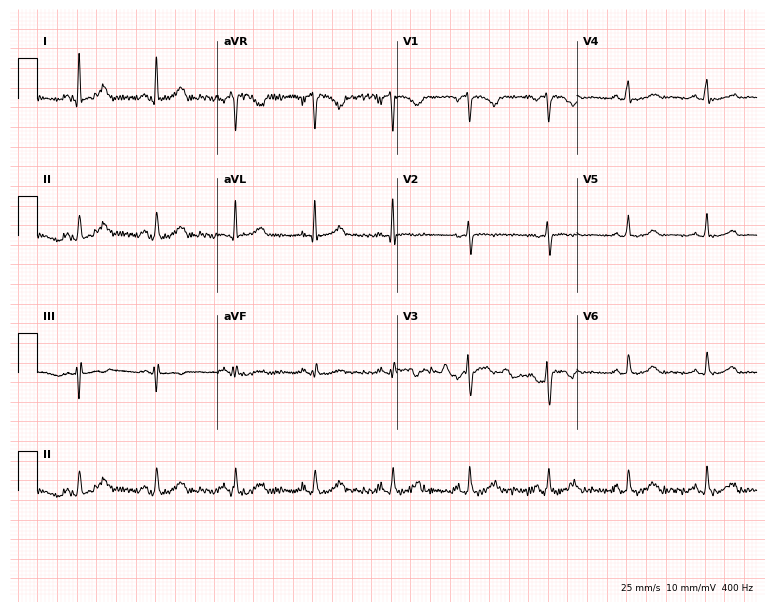
Electrocardiogram, a 49-year-old female patient. Overall reading on record: normal ECG.